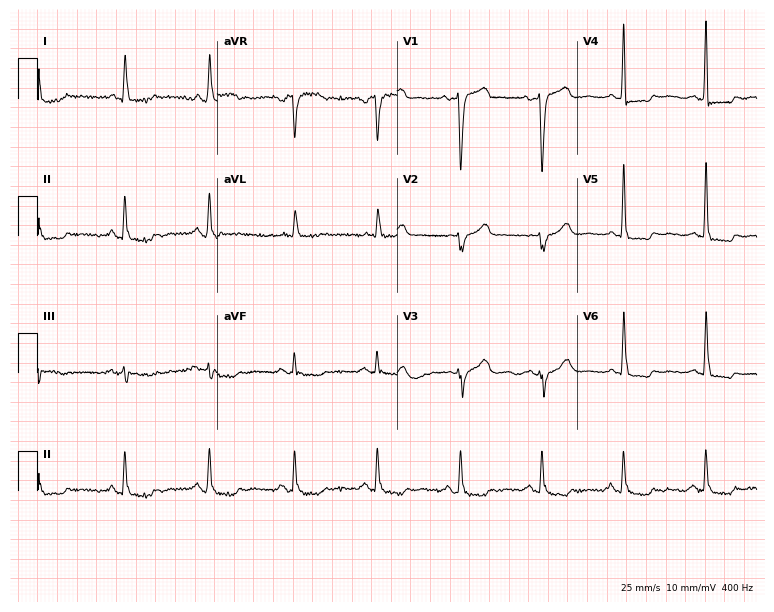
ECG — a man, 66 years old. Screened for six findings — first-degree AV block, right bundle branch block, left bundle branch block, sinus bradycardia, atrial fibrillation, sinus tachycardia — none is recorded. Findings outside these six are not listed.